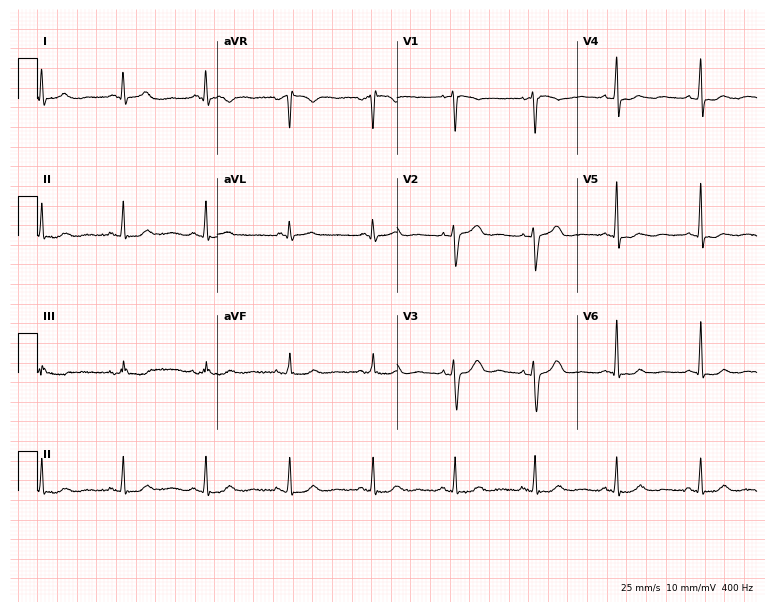
12-lead ECG from a 45-year-old woman. Labelled as a normal ECG.